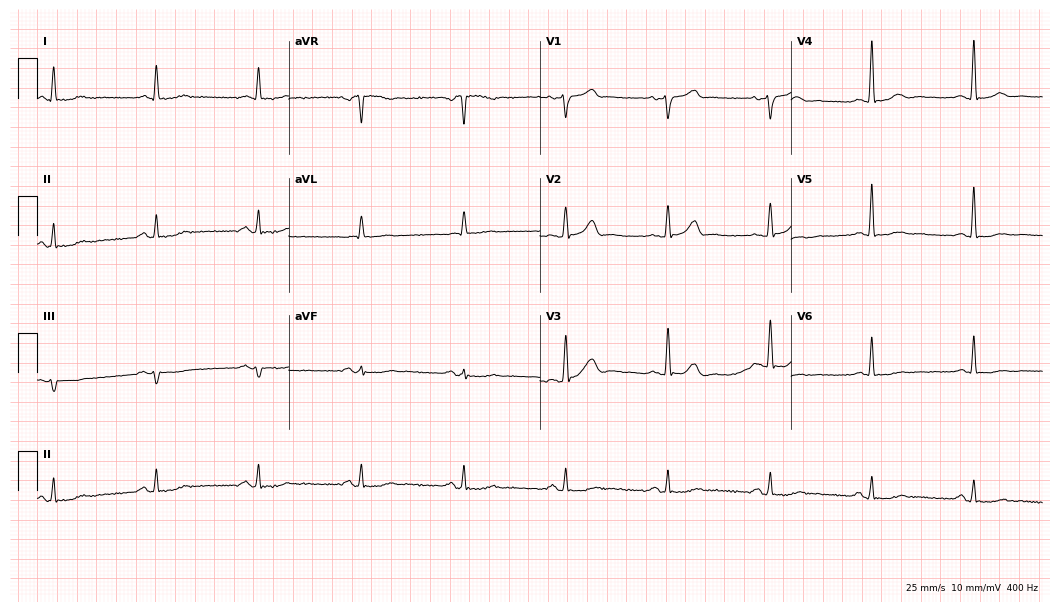
Standard 12-lead ECG recorded from a 69-year-old male patient (10.2-second recording at 400 Hz). Read as a normal ECG.